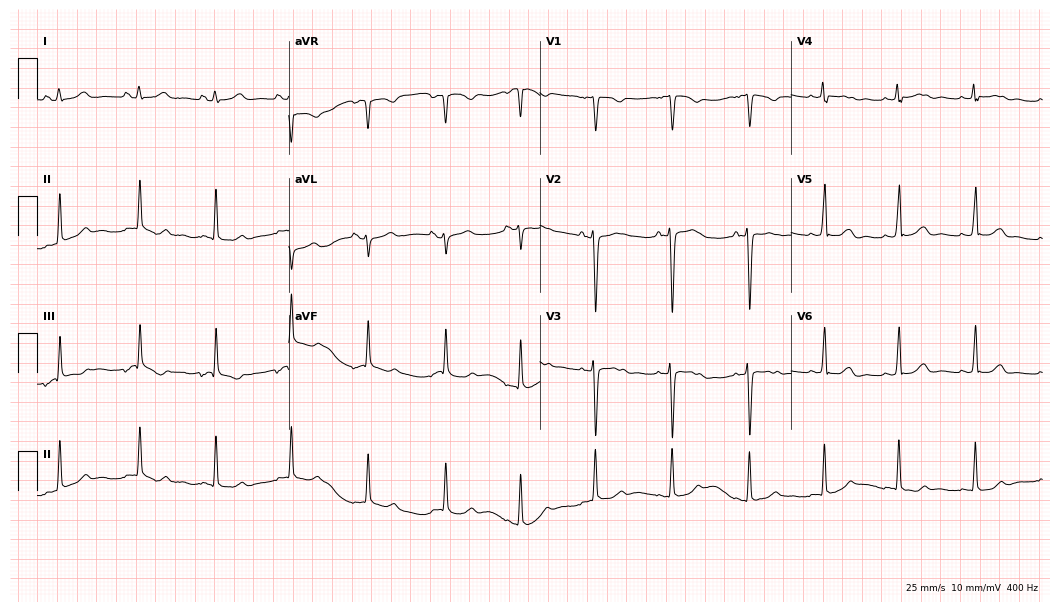
Resting 12-lead electrocardiogram. Patient: a female, 21 years old. Read as a normal ECG.